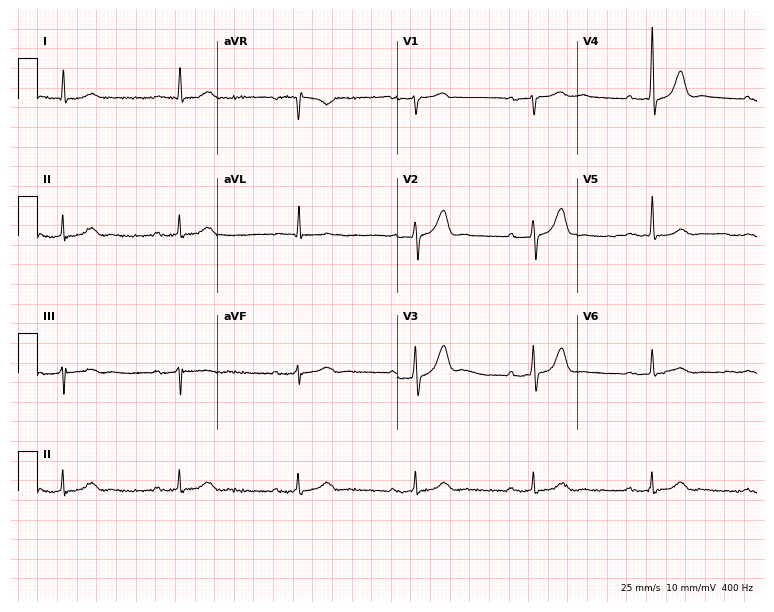
ECG (7.3-second recording at 400 Hz) — a man, 79 years old. Labelled as a normal ECG.